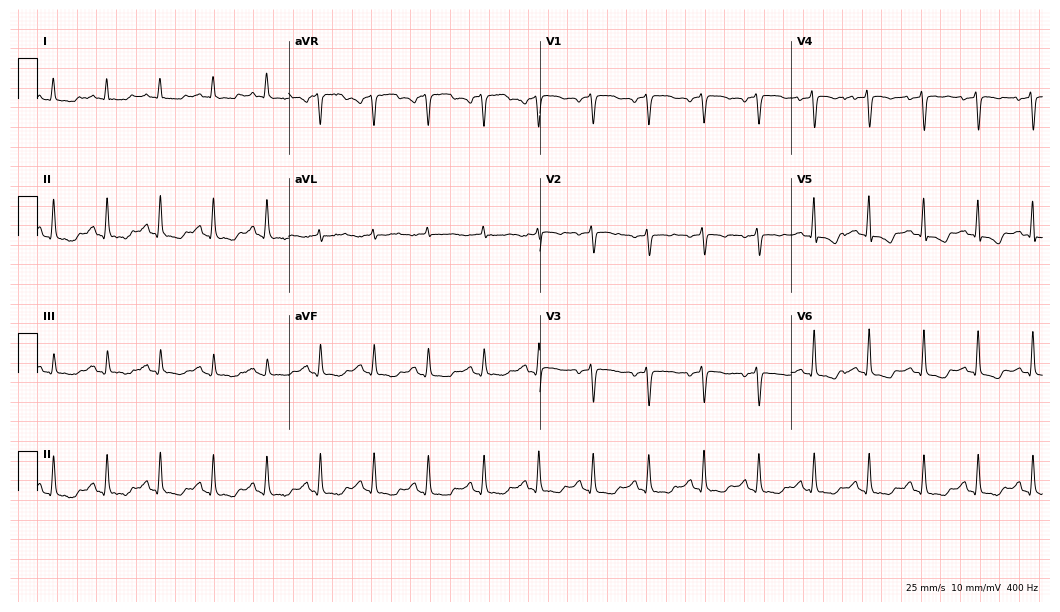
Resting 12-lead electrocardiogram. Patient: a 56-year-old female. The tracing shows sinus tachycardia (a sinus rate of 100 beats per minute or more).